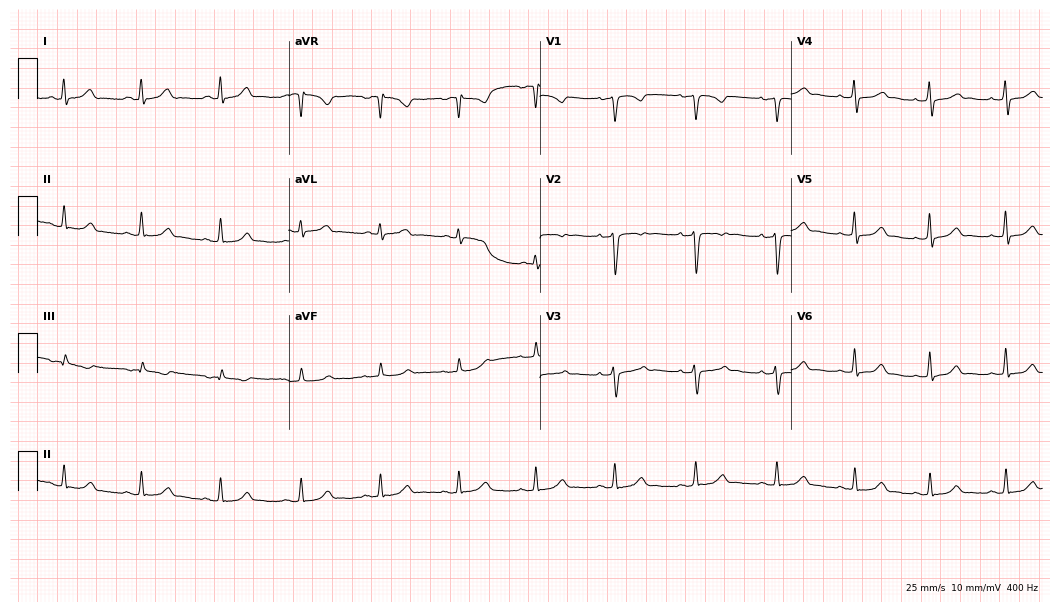
12-lead ECG (10.2-second recording at 400 Hz) from a 38-year-old woman. Labelled as a normal ECG.